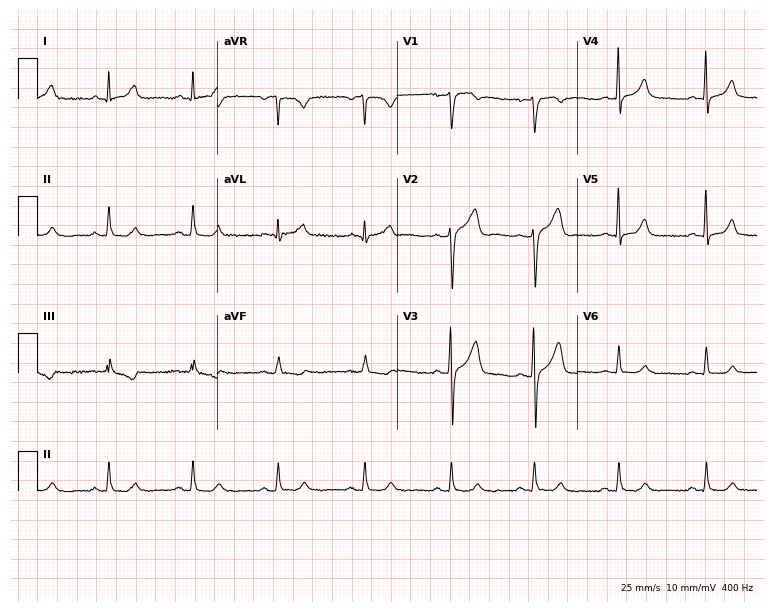
12-lead ECG from a 53-year-old man (7.3-second recording at 400 Hz). Recorded interpretation: within normal limits.